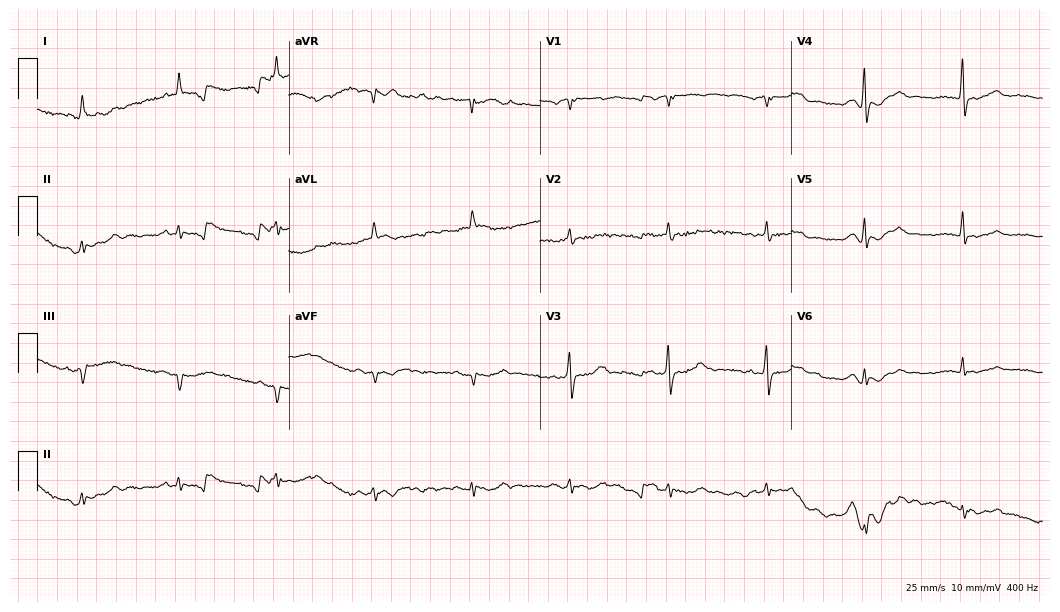
Electrocardiogram, a male patient, 82 years old. Of the six screened findings (first-degree AV block, right bundle branch block (RBBB), left bundle branch block (LBBB), sinus bradycardia, atrial fibrillation (AF), sinus tachycardia), none is recorded. Findings outside these six are not listed.